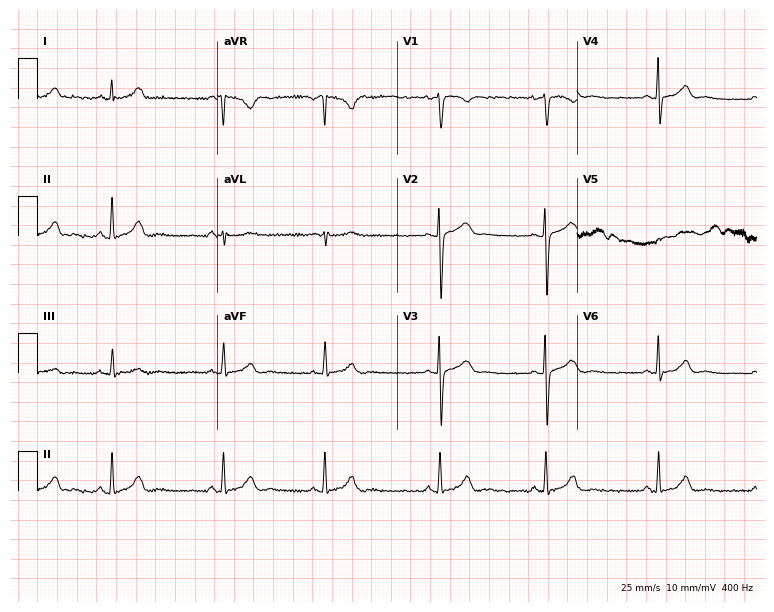
Resting 12-lead electrocardiogram. Patient: a 24-year-old female. None of these six findings is recorded: first-degree AV block, right bundle branch block, left bundle branch block, sinus bradycardia, atrial fibrillation, sinus tachycardia. Only these six findings were labelled.